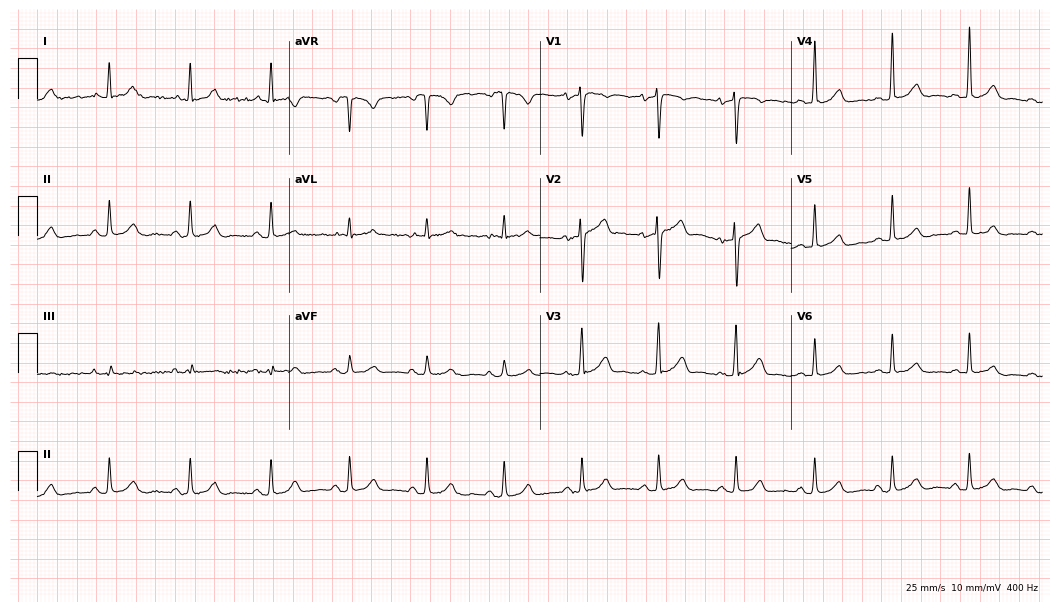
12-lead ECG from a 56-year-old male patient. Recorded interpretation: within normal limits.